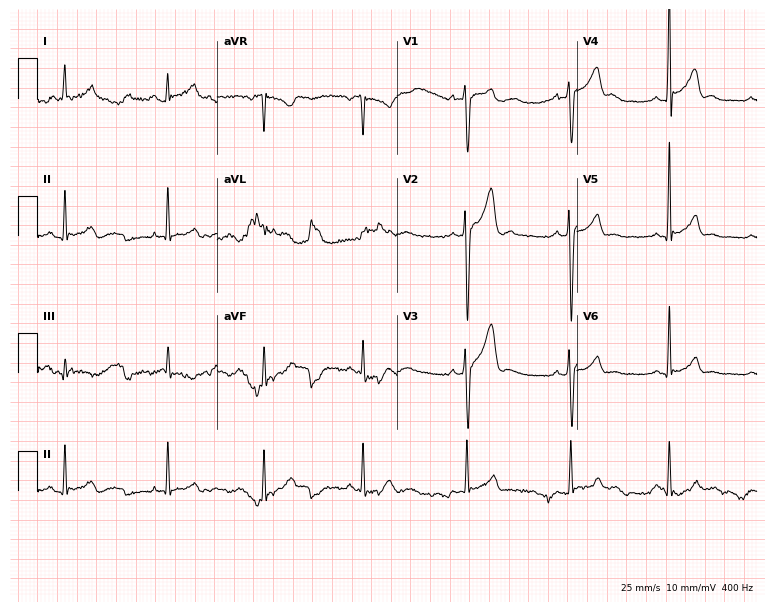
Electrocardiogram (7.3-second recording at 400 Hz), a male, 30 years old. Overall reading on record: normal ECG.